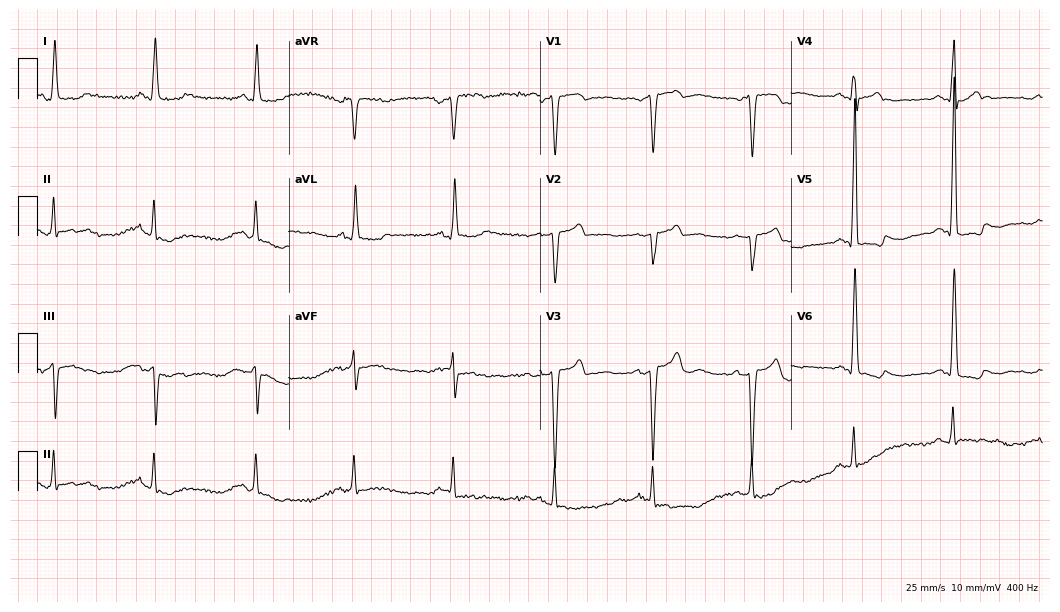
Resting 12-lead electrocardiogram (10.2-second recording at 400 Hz). Patient: a 65-year-old male. The tracing shows sinus bradycardia (a sinus rate of 50 beats per minute or less).